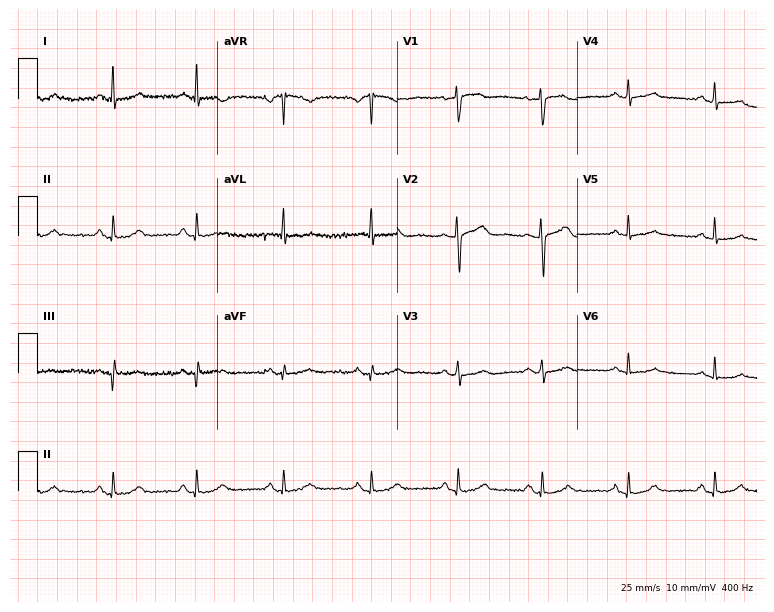
12-lead ECG from a 67-year-old female (7.3-second recording at 400 Hz). Recorded interpretation: within normal limits.